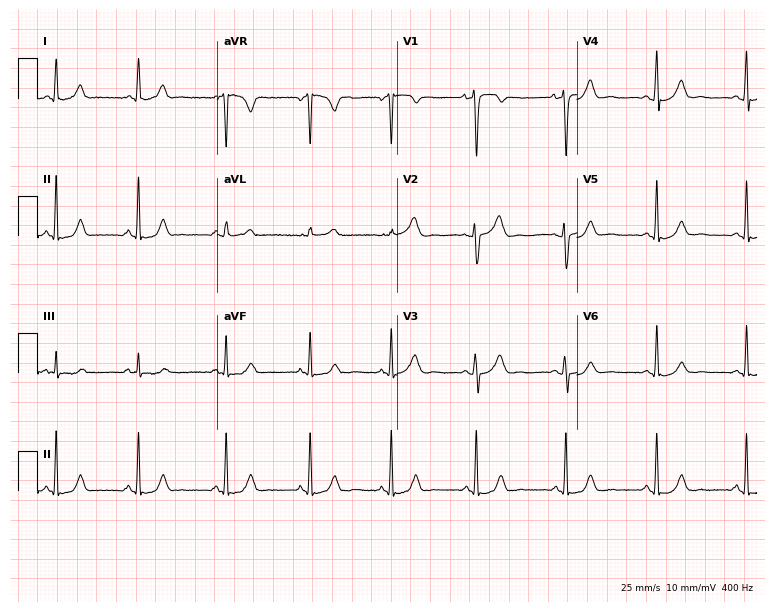
ECG (7.3-second recording at 400 Hz) — a female, 25 years old. Labelled as a normal ECG.